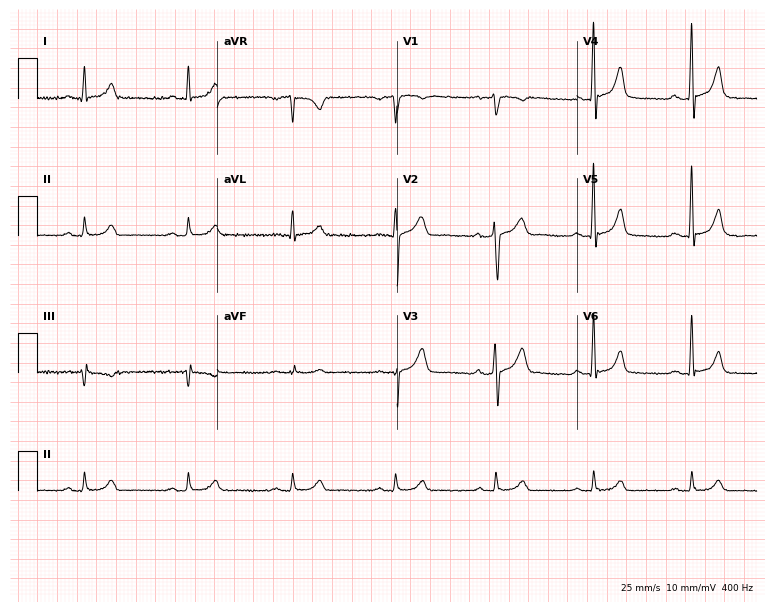
Standard 12-lead ECG recorded from a male patient, 62 years old (7.3-second recording at 400 Hz). Read as a normal ECG.